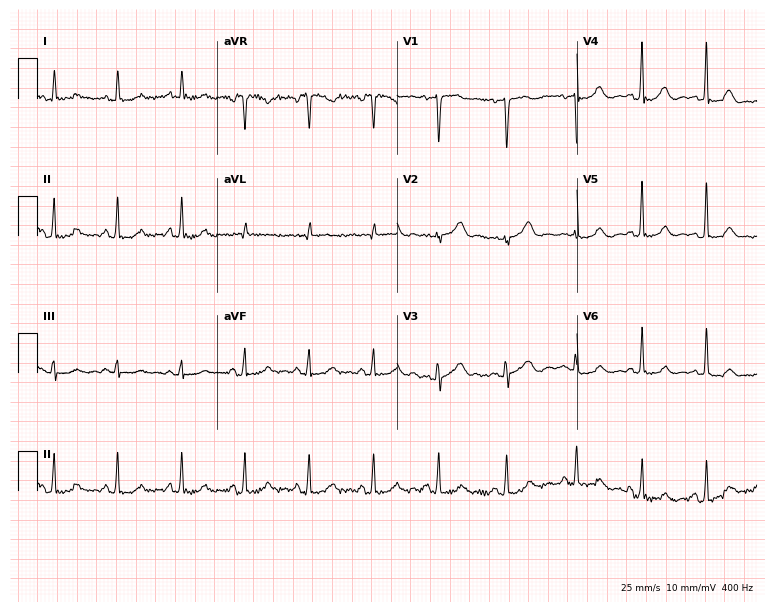
Resting 12-lead electrocardiogram. Patient: a woman, 46 years old. Read as a normal ECG.